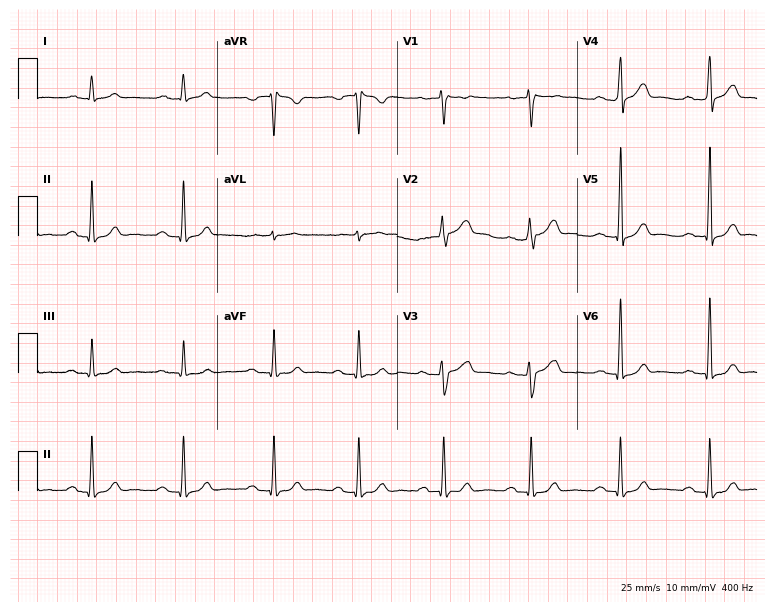
ECG — a male, 56 years old. Labelled as a normal ECG.